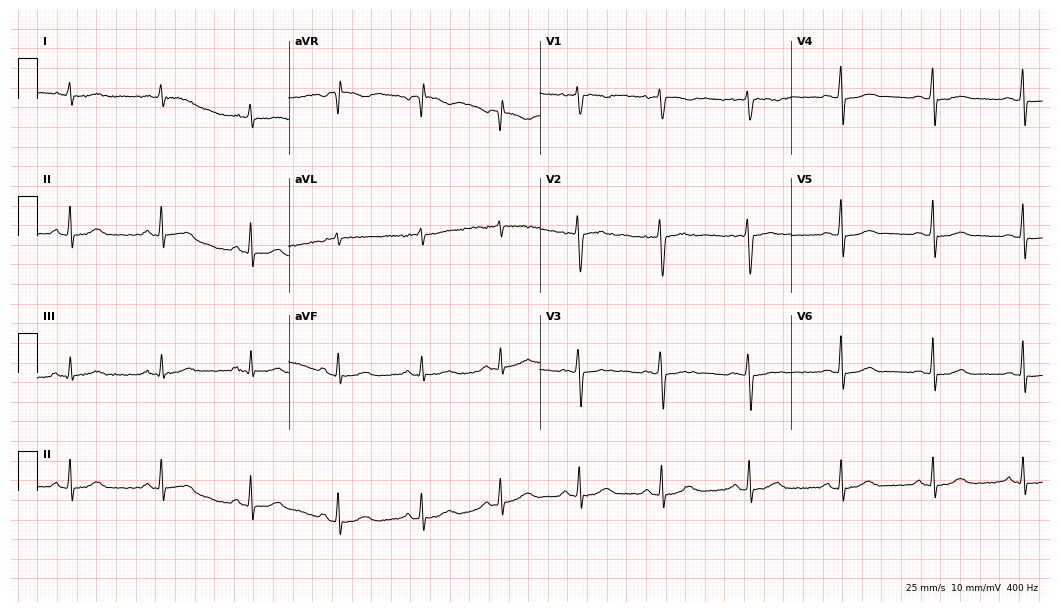
Electrocardiogram, a female, 44 years old. Overall reading on record: normal ECG.